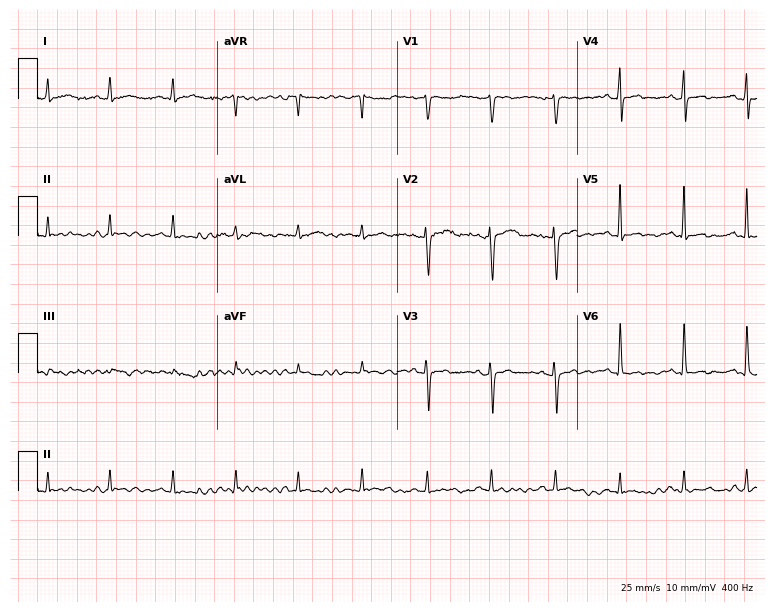
Resting 12-lead electrocardiogram (7.3-second recording at 400 Hz). Patient: a 46-year-old female. None of these six findings is recorded: first-degree AV block, right bundle branch block, left bundle branch block, sinus bradycardia, atrial fibrillation, sinus tachycardia.